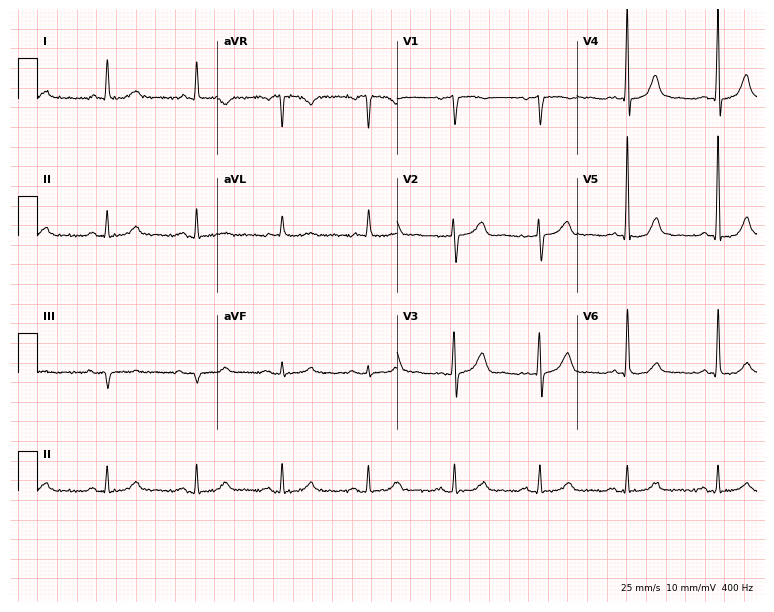
Standard 12-lead ECG recorded from a male patient, 75 years old. None of these six findings is recorded: first-degree AV block, right bundle branch block, left bundle branch block, sinus bradycardia, atrial fibrillation, sinus tachycardia.